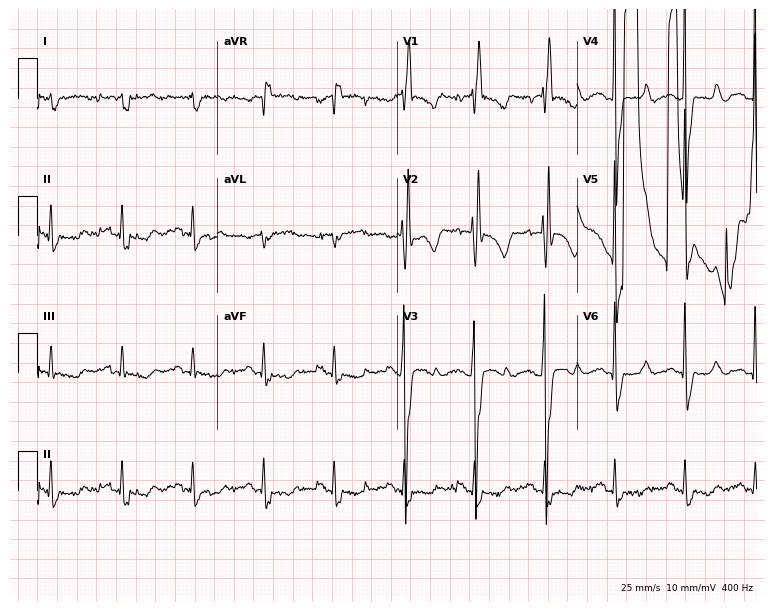
Resting 12-lead electrocardiogram. Patient: a 78-year-old man. None of these six findings is recorded: first-degree AV block, right bundle branch block, left bundle branch block, sinus bradycardia, atrial fibrillation, sinus tachycardia.